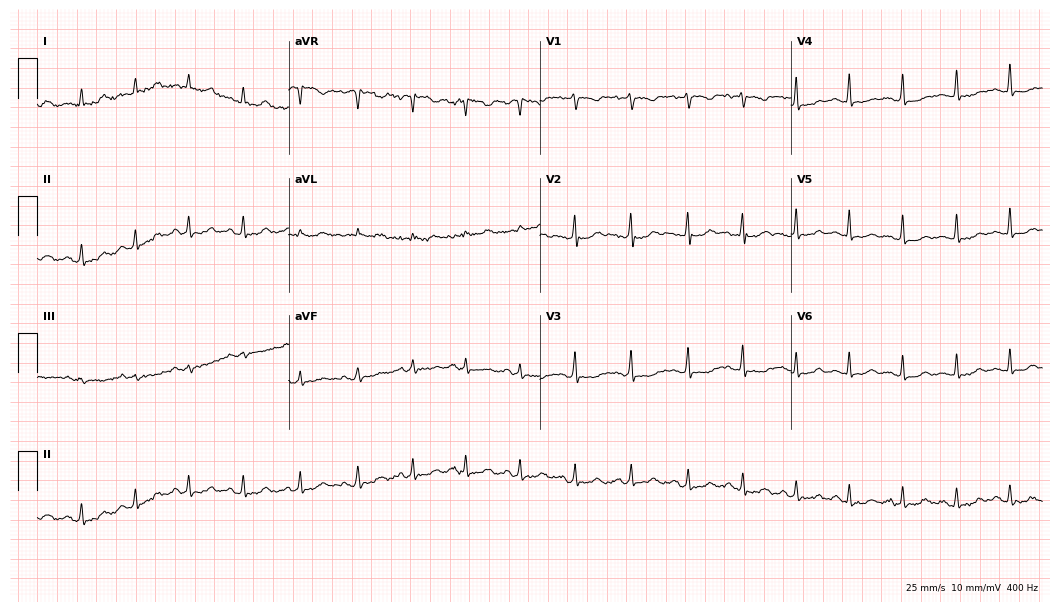
Standard 12-lead ECG recorded from a female patient, 19 years old (10.2-second recording at 400 Hz). None of these six findings is recorded: first-degree AV block, right bundle branch block (RBBB), left bundle branch block (LBBB), sinus bradycardia, atrial fibrillation (AF), sinus tachycardia.